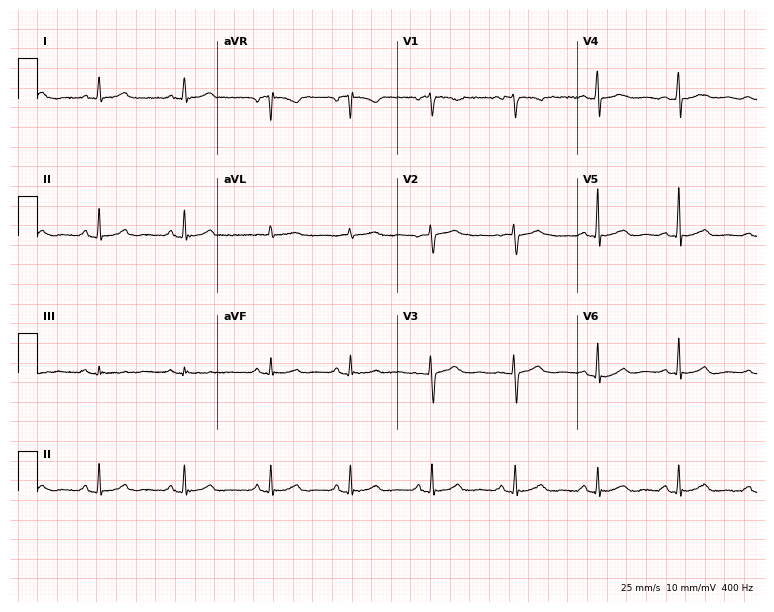
Resting 12-lead electrocardiogram (7.3-second recording at 400 Hz). Patient: a female, 56 years old. Read as a normal ECG.